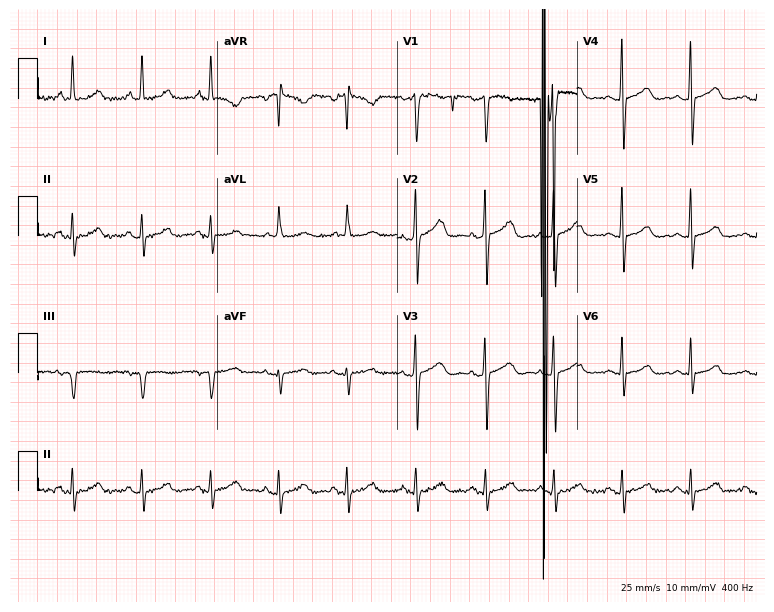
12-lead ECG from a 59-year-old female. Labelled as a normal ECG.